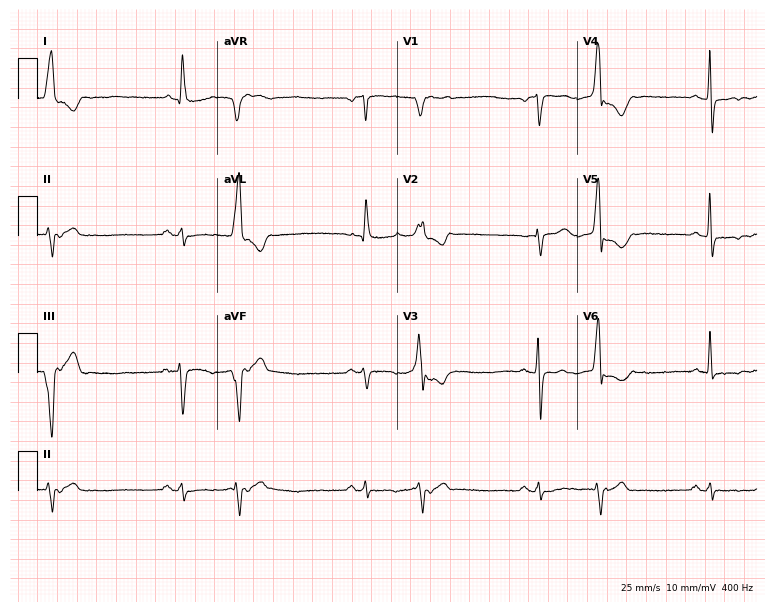
12-lead ECG from a 73-year-old male patient. No first-degree AV block, right bundle branch block, left bundle branch block, sinus bradycardia, atrial fibrillation or sinus tachycardia recorded for this tracing.